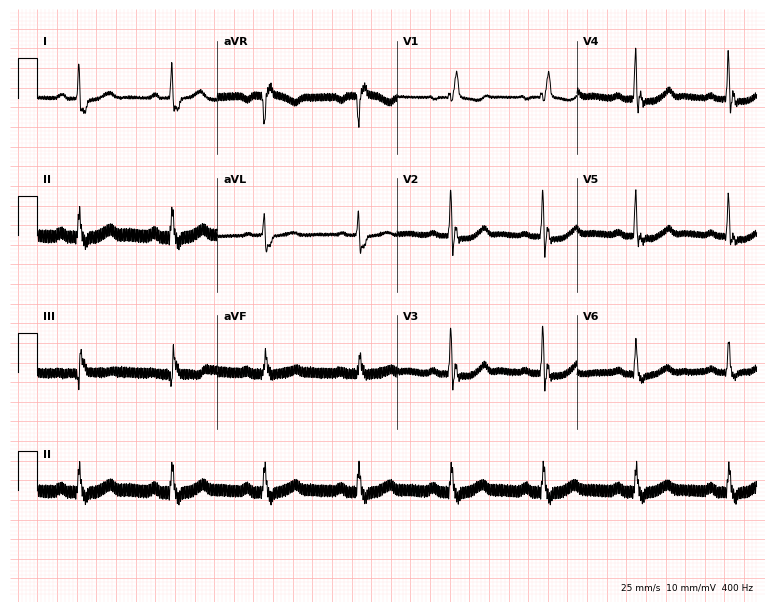
Resting 12-lead electrocardiogram. Patient: an 82-year-old woman. None of these six findings is recorded: first-degree AV block, right bundle branch block (RBBB), left bundle branch block (LBBB), sinus bradycardia, atrial fibrillation (AF), sinus tachycardia.